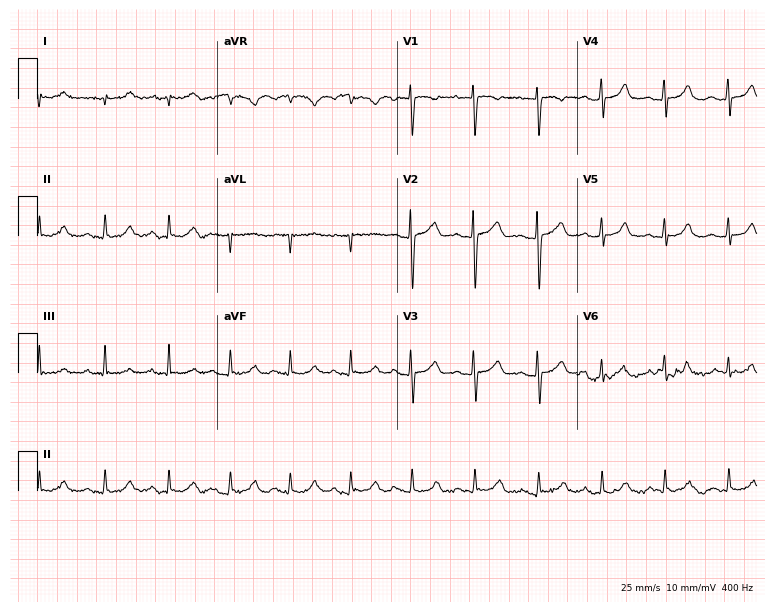
12-lead ECG from a female patient, 25 years old (7.3-second recording at 400 Hz). No first-degree AV block, right bundle branch block, left bundle branch block, sinus bradycardia, atrial fibrillation or sinus tachycardia recorded for this tracing. Only these six findings were labelled.